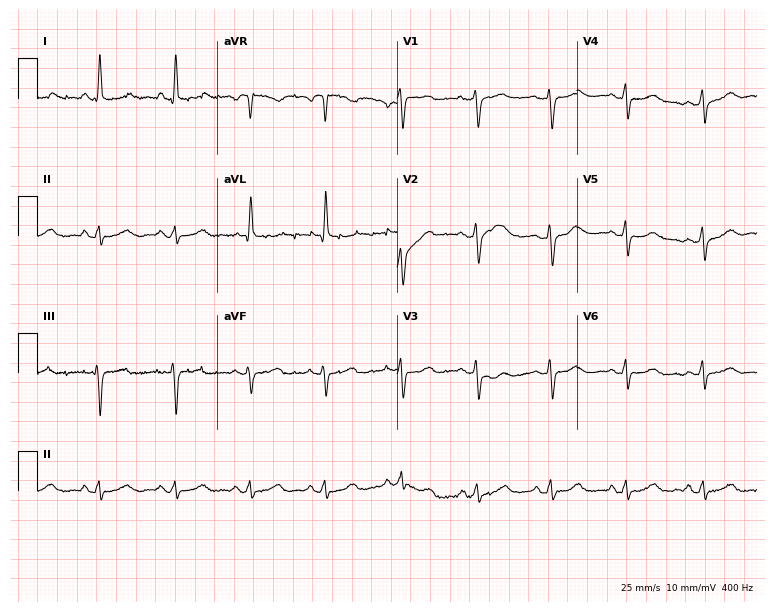
12-lead ECG (7.3-second recording at 400 Hz) from a female patient, 66 years old. Screened for six findings — first-degree AV block, right bundle branch block, left bundle branch block, sinus bradycardia, atrial fibrillation, sinus tachycardia — none is recorded.